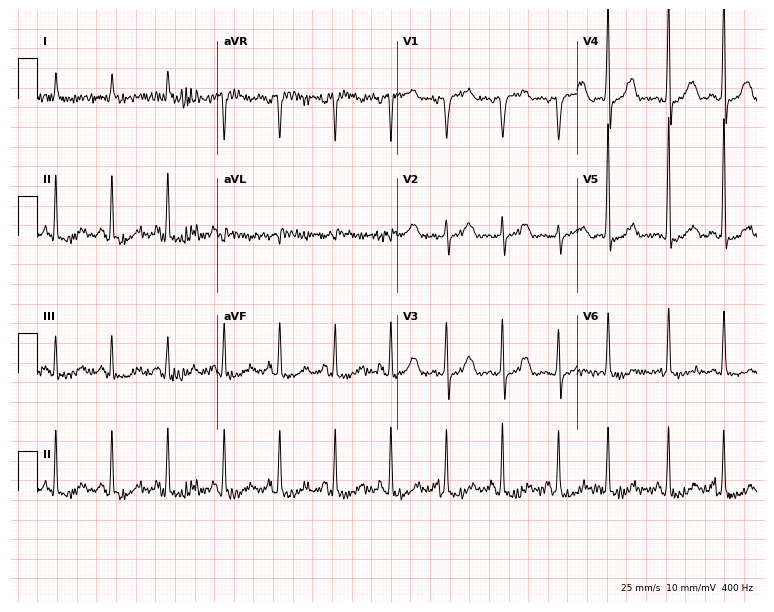
12-lead ECG (7.3-second recording at 400 Hz) from a woman, 69 years old. Screened for six findings — first-degree AV block, right bundle branch block, left bundle branch block, sinus bradycardia, atrial fibrillation, sinus tachycardia — none is recorded.